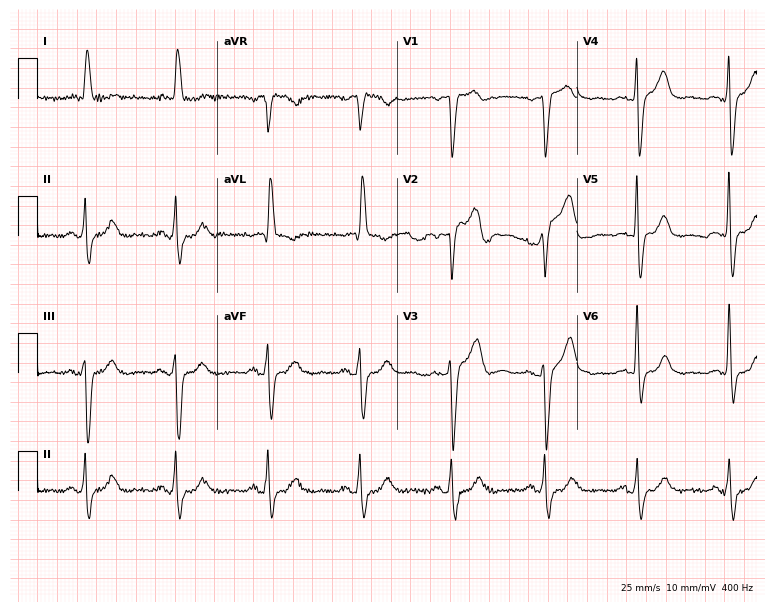
Electrocardiogram, a 79-year-old female patient. Of the six screened findings (first-degree AV block, right bundle branch block (RBBB), left bundle branch block (LBBB), sinus bradycardia, atrial fibrillation (AF), sinus tachycardia), none is recorded.